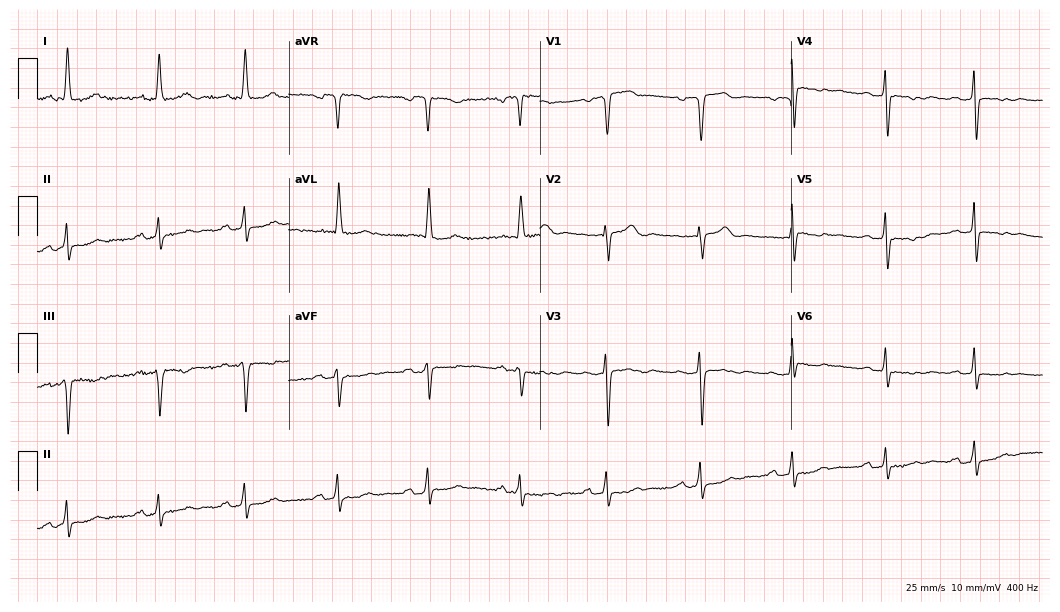
Resting 12-lead electrocardiogram (10.2-second recording at 400 Hz). Patient: a 74-year-old female. The tracing shows first-degree AV block.